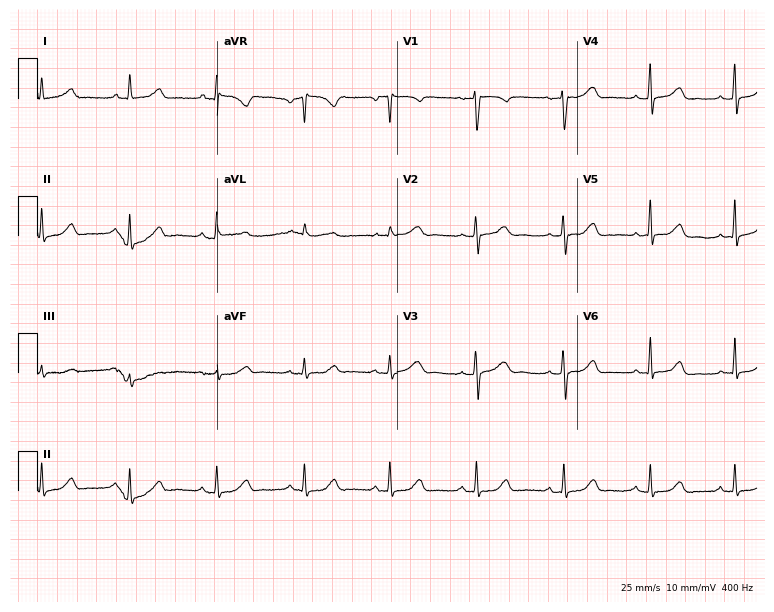
ECG — a 40-year-old female. Labelled as a normal ECG.